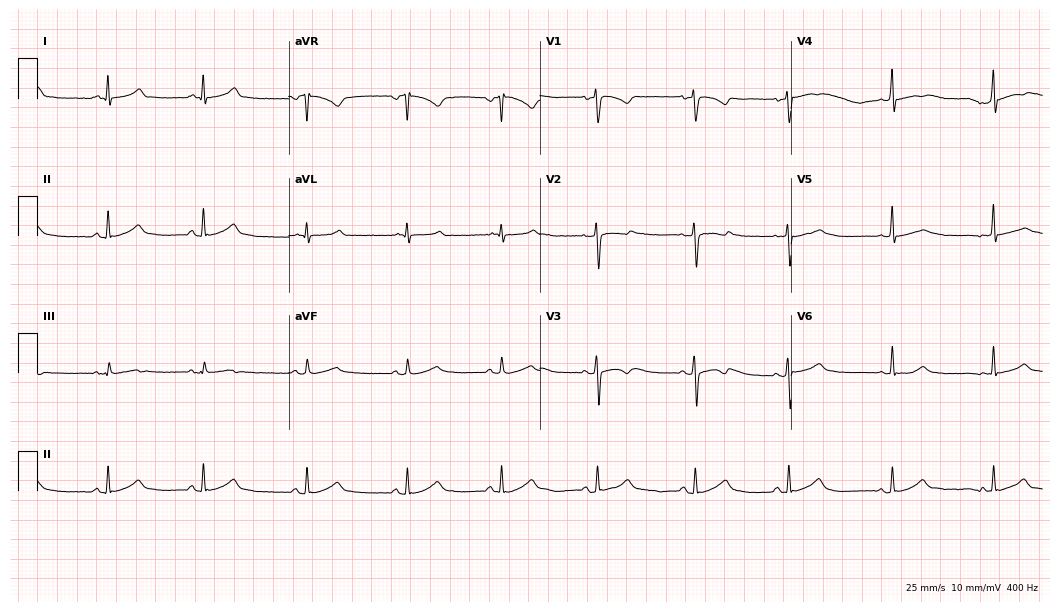
12-lead ECG from a female patient, 69 years old. Recorded interpretation: within normal limits.